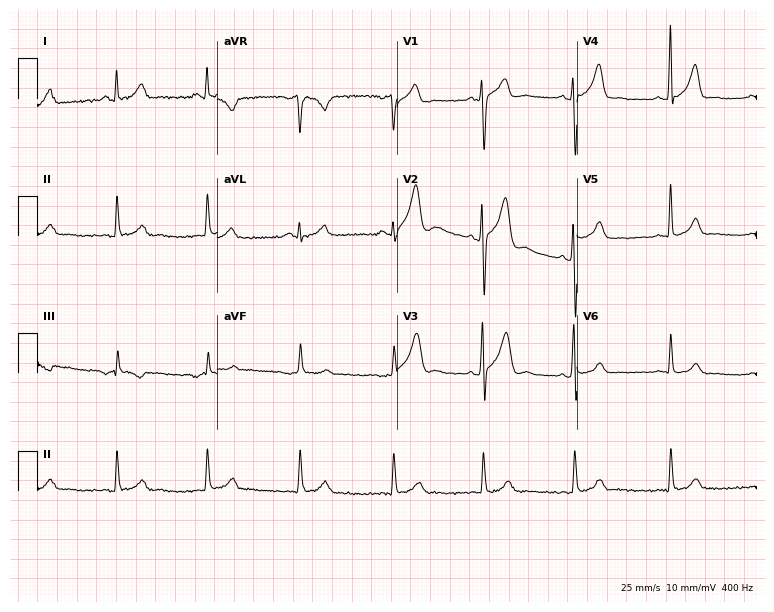
Resting 12-lead electrocardiogram. Patient: a 36-year-old man. None of these six findings is recorded: first-degree AV block, right bundle branch block, left bundle branch block, sinus bradycardia, atrial fibrillation, sinus tachycardia.